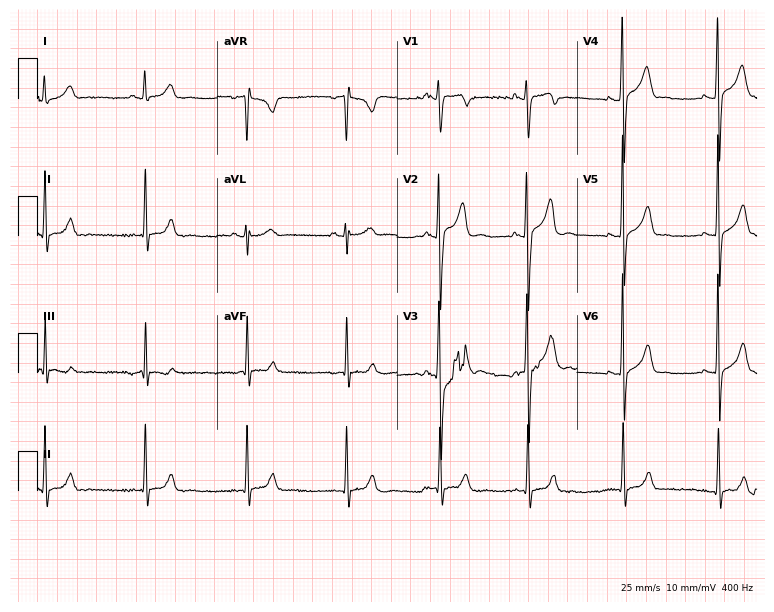
ECG — a male, 20 years old. Screened for six findings — first-degree AV block, right bundle branch block, left bundle branch block, sinus bradycardia, atrial fibrillation, sinus tachycardia — none is recorded.